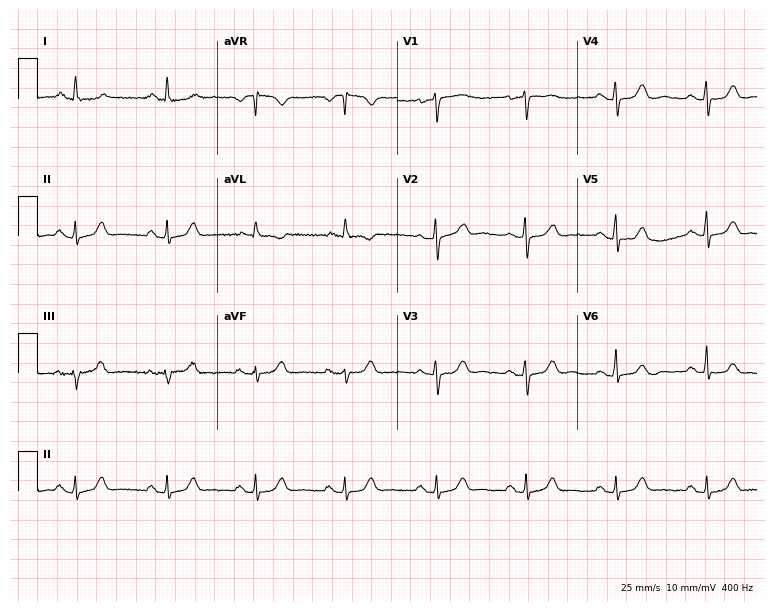
12-lead ECG from a 57-year-old female patient. Screened for six findings — first-degree AV block, right bundle branch block (RBBB), left bundle branch block (LBBB), sinus bradycardia, atrial fibrillation (AF), sinus tachycardia — none is recorded. Findings outside these six are not listed.